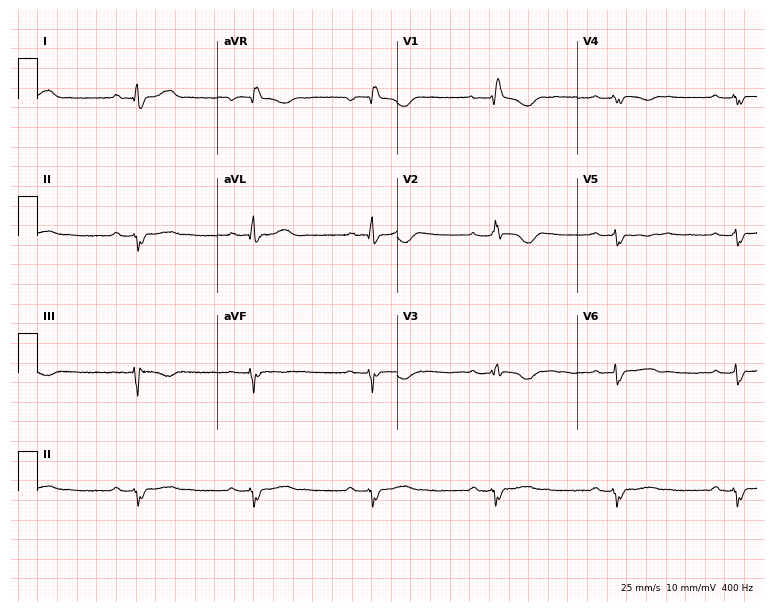
12-lead ECG from a 26-year-old female. Shows right bundle branch block.